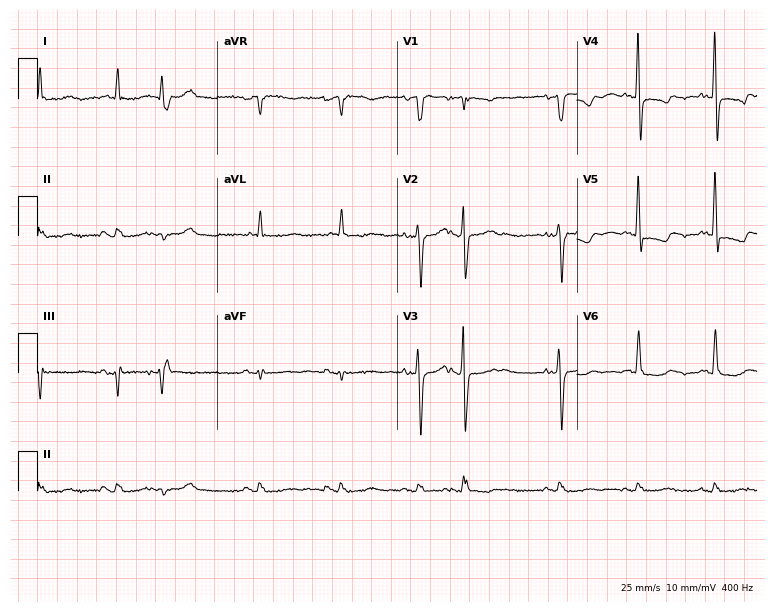
Electrocardiogram (7.3-second recording at 400 Hz), a male, 81 years old. Of the six screened findings (first-degree AV block, right bundle branch block, left bundle branch block, sinus bradycardia, atrial fibrillation, sinus tachycardia), none is recorded. Findings outside these six are not listed.